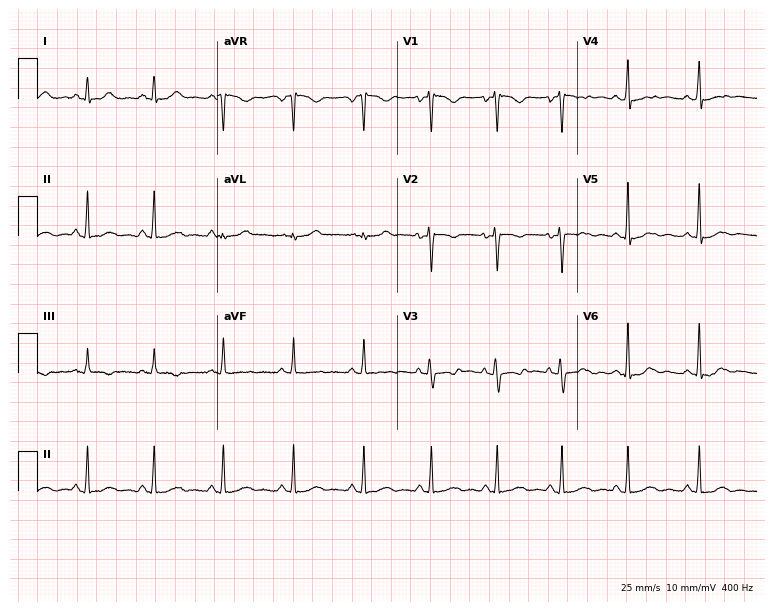
Resting 12-lead electrocardiogram. Patient: a female, 31 years old. None of these six findings is recorded: first-degree AV block, right bundle branch block, left bundle branch block, sinus bradycardia, atrial fibrillation, sinus tachycardia.